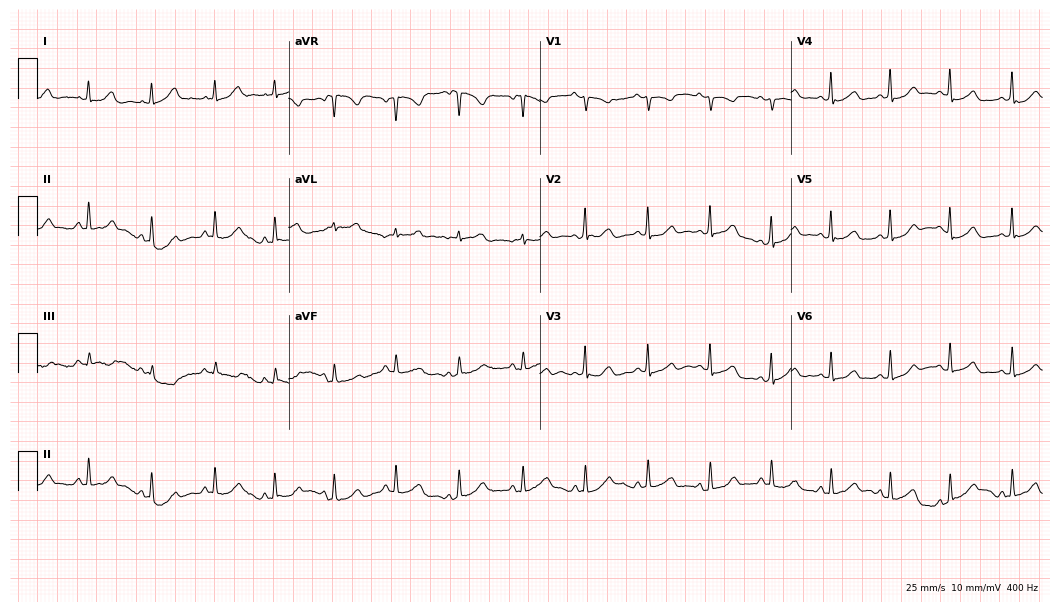
Standard 12-lead ECG recorded from a 22-year-old woman. None of these six findings is recorded: first-degree AV block, right bundle branch block (RBBB), left bundle branch block (LBBB), sinus bradycardia, atrial fibrillation (AF), sinus tachycardia.